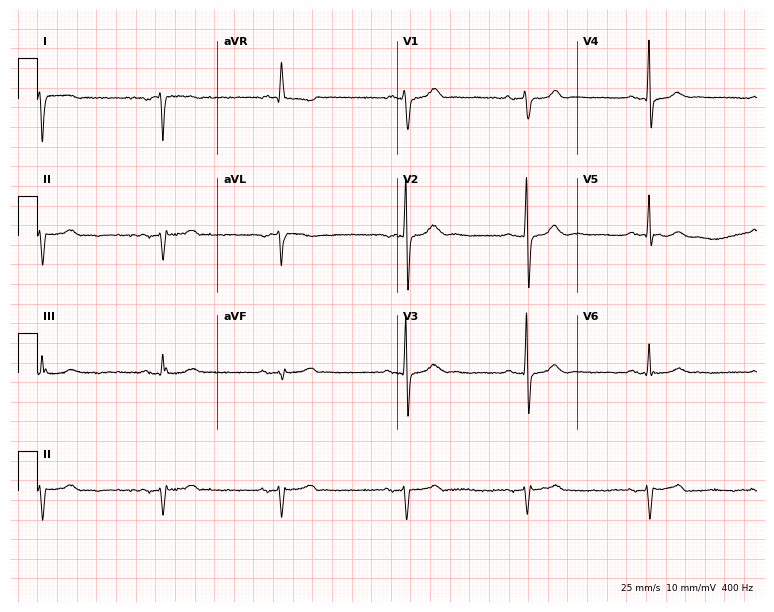
Resting 12-lead electrocardiogram. Patient: a male, 53 years old. None of these six findings is recorded: first-degree AV block, right bundle branch block, left bundle branch block, sinus bradycardia, atrial fibrillation, sinus tachycardia. Findings outside these six are not listed.